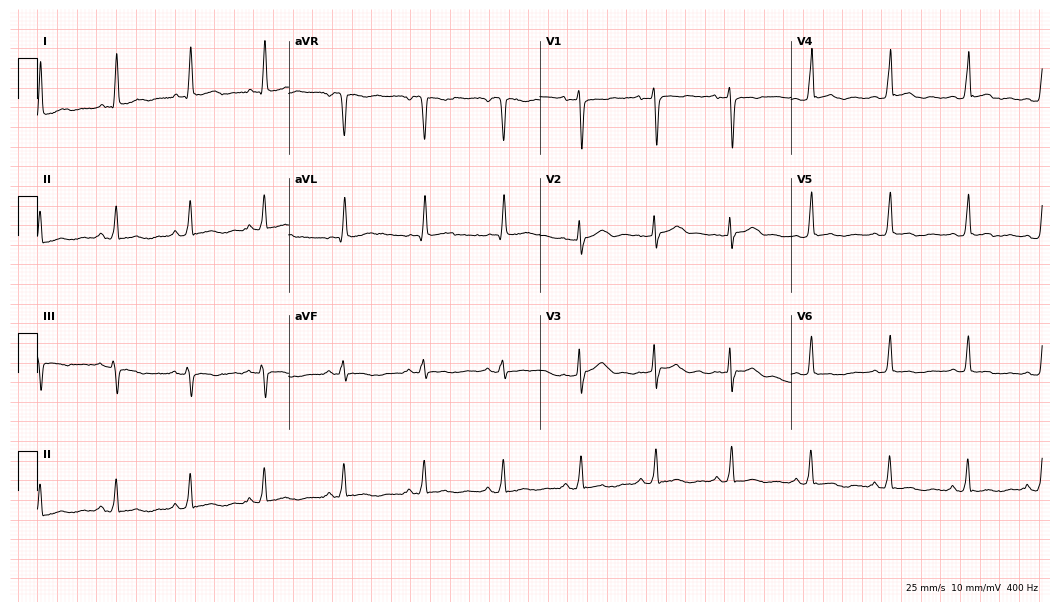
Standard 12-lead ECG recorded from a female, 43 years old (10.2-second recording at 400 Hz). None of these six findings is recorded: first-degree AV block, right bundle branch block, left bundle branch block, sinus bradycardia, atrial fibrillation, sinus tachycardia.